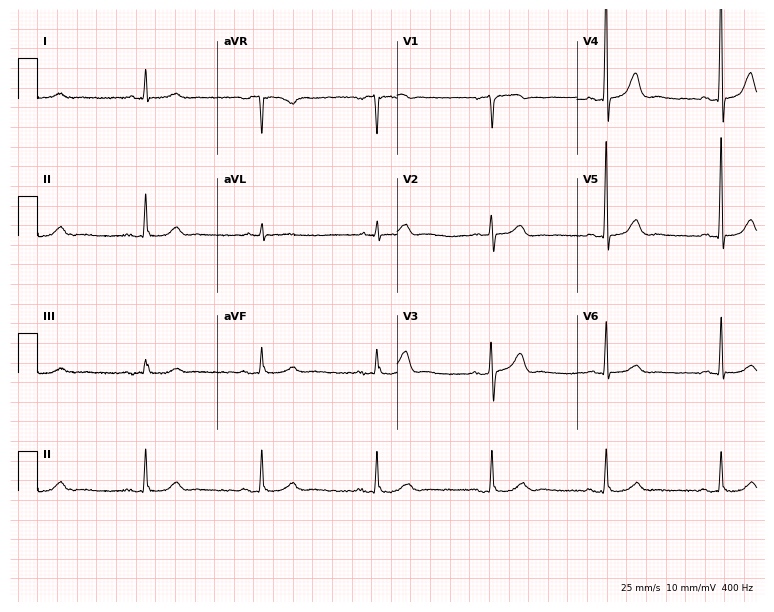
Electrocardiogram (7.3-second recording at 400 Hz), a male, 83 years old. Of the six screened findings (first-degree AV block, right bundle branch block, left bundle branch block, sinus bradycardia, atrial fibrillation, sinus tachycardia), none is recorded.